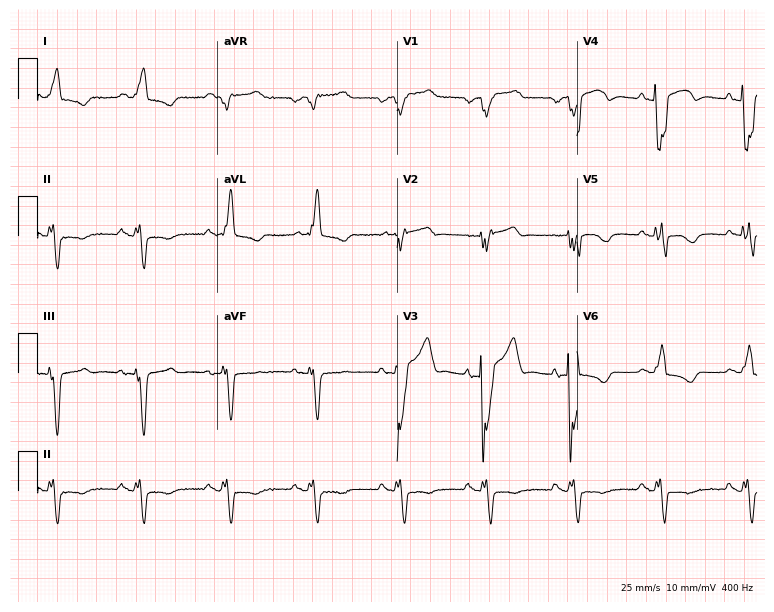
Resting 12-lead electrocardiogram. Patient: a 72-year-old male. The tracing shows right bundle branch block.